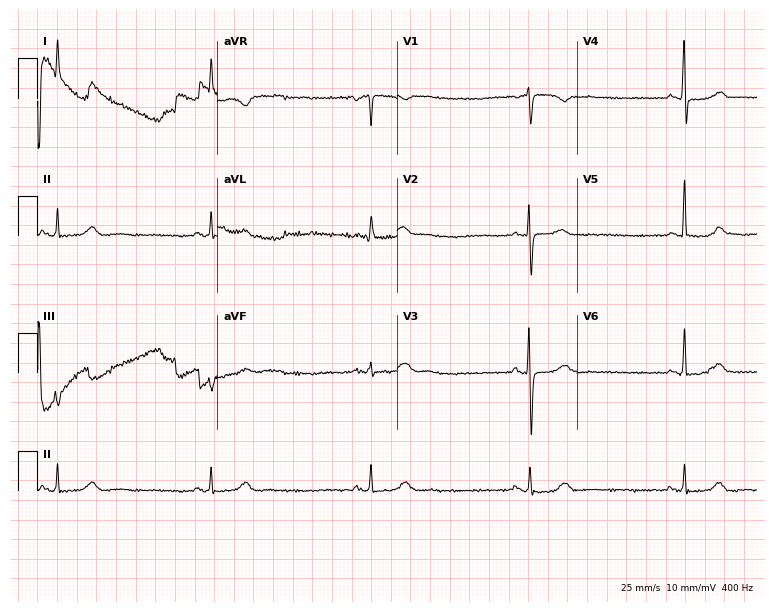
12-lead ECG from a female patient, 66 years old. Shows sinus bradycardia (a sinus rate of 50 beats per minute or less).